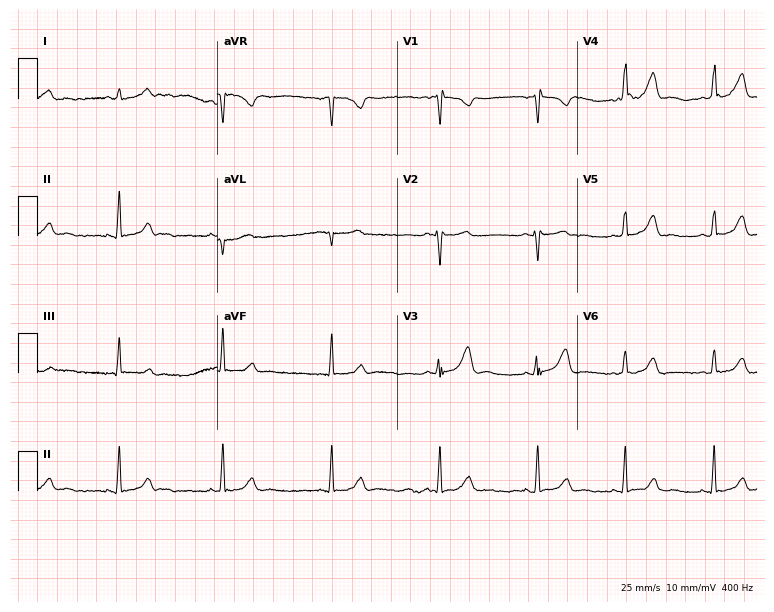
ECG — a woman, 30 years old. Screened for six findings — first-degree AV block, right bundle branch block, left bundle branch block, sinus bradycardia, atrial fibrillation, sinus tachycardia — none is recorded.